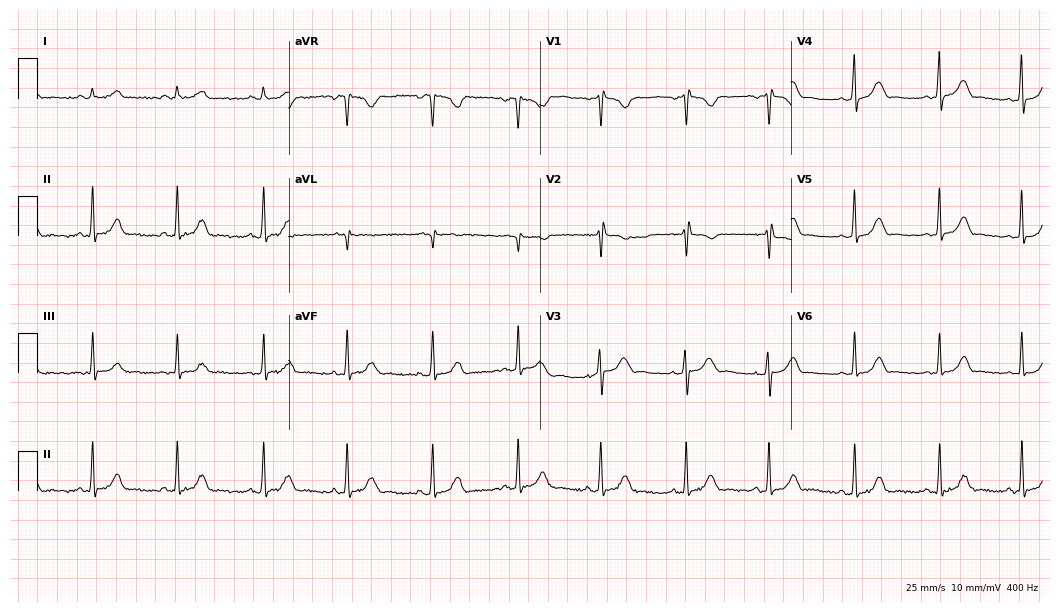
Resting 12-lead electrocardiogram. Patient: a 28-year-old female. Read as a normal ECG.